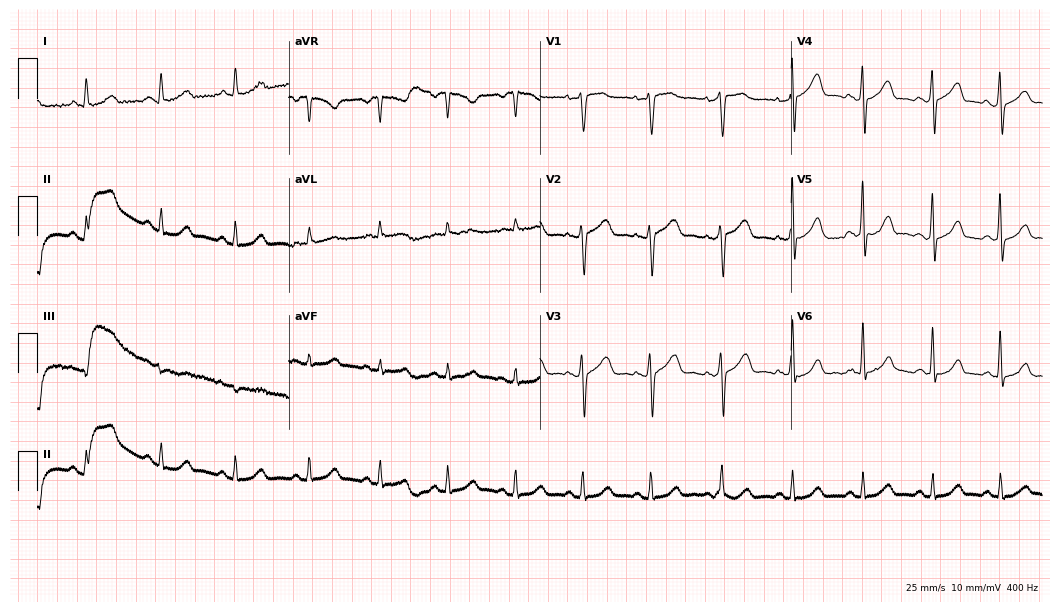
12-lead ECG from a female patient, 53 years old (10.2-second recording at 400 Hz). No first-degree AV block, right bundle branch block, left bundle branch block, sinus bradycardia, atrial fibrillation or sinus tachycardia recorded for this tracing.